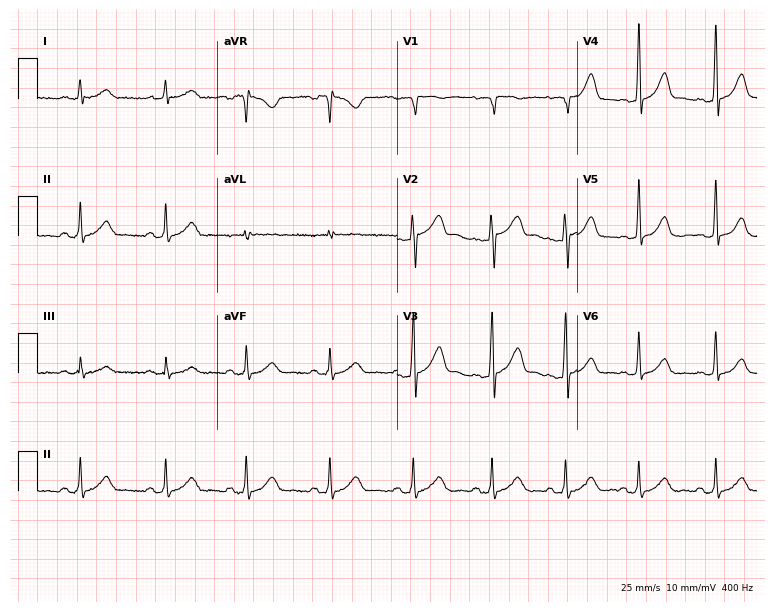
12-lead ECG (7.3-second recording at 400 Hz) from a male, 40 years old. Screened for six findings — first-degree AV block, right bundle branch block, left bundle branch block, sinus bradycardia, atrial fibrillation, sinus tachycardia — none is recorded. Only these six findings were labelled.